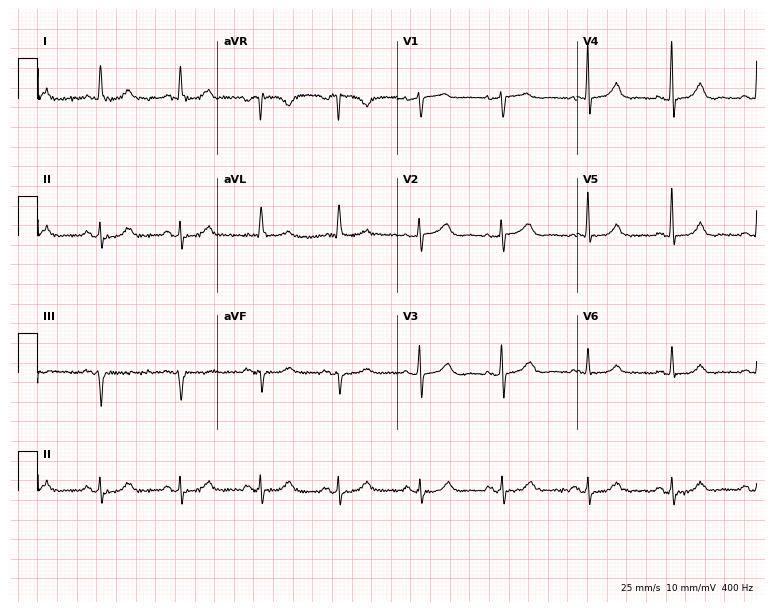
Electrocardiogram, a female, 69 years old. Of the six screened findings (first-degree AV block, right bundle branch block (RBBB), left bundle branch block (LBBB), sinus bradycardia, atrial fibrillation (AF), sinus tachycardia), none is recorded. Only these six findings were labelled.